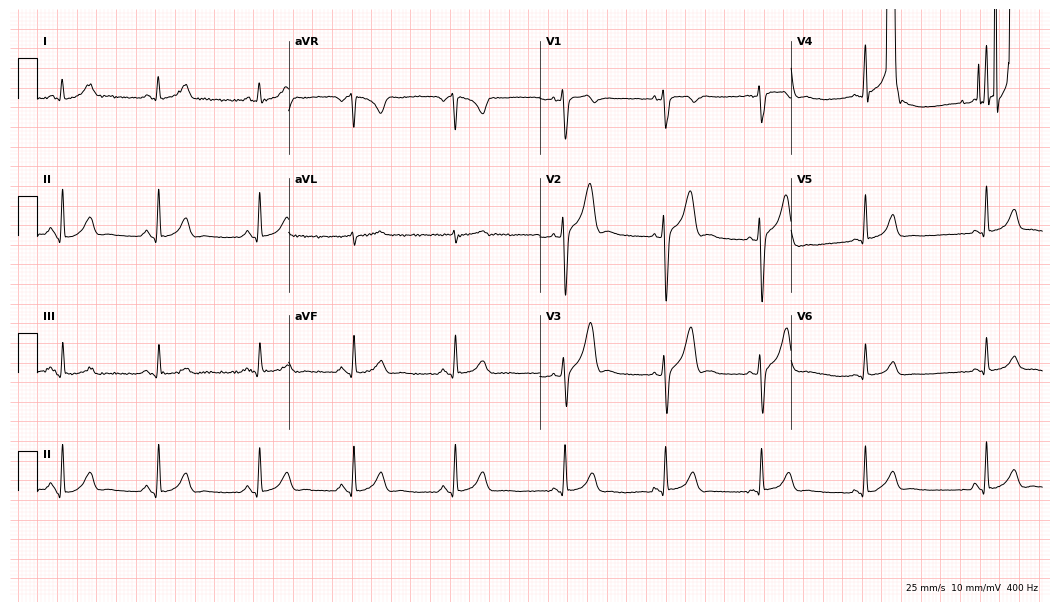
12-lead ECG from a 37-year-old man (10.2-second recording at 400 Hz). No first-degree AV block, right bundle branch block (RBBB), left bundle branch block (LBBB), sinus bradycardia, atrial fibrillation (AF) or sinus tachycardia recorded for this tracing.